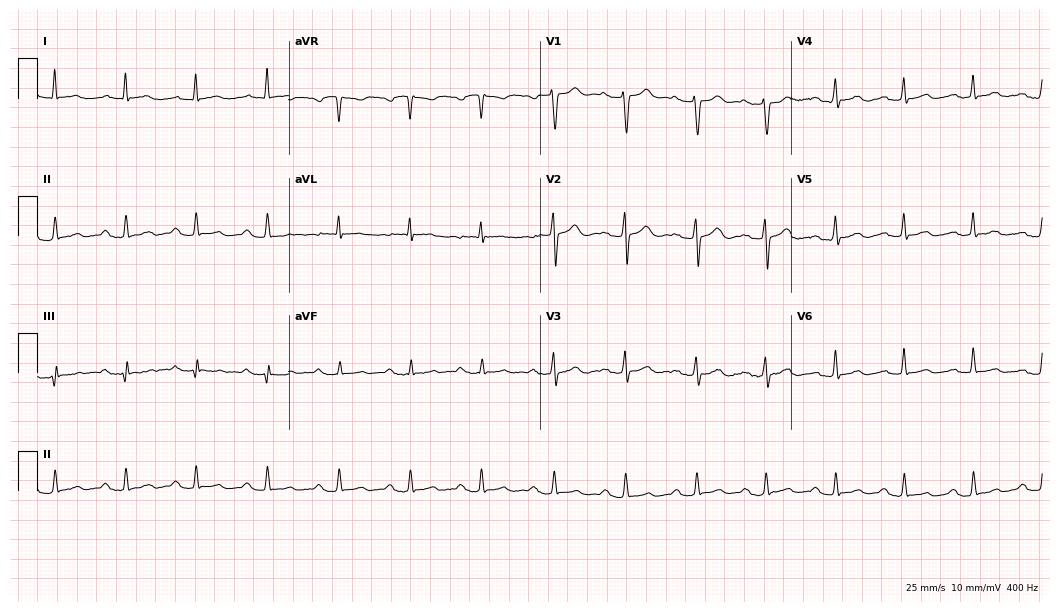
Electrocardiogram, a male patient, 58 years old. Of the six screened findings (first-degree AV block, right bundle branch block (RBBB), left bundle branch block (LBBB), sinus bradycardia, atrial fibrillation (AF), sinus tachycardia), none is recorded. Only these six findings were labelled.